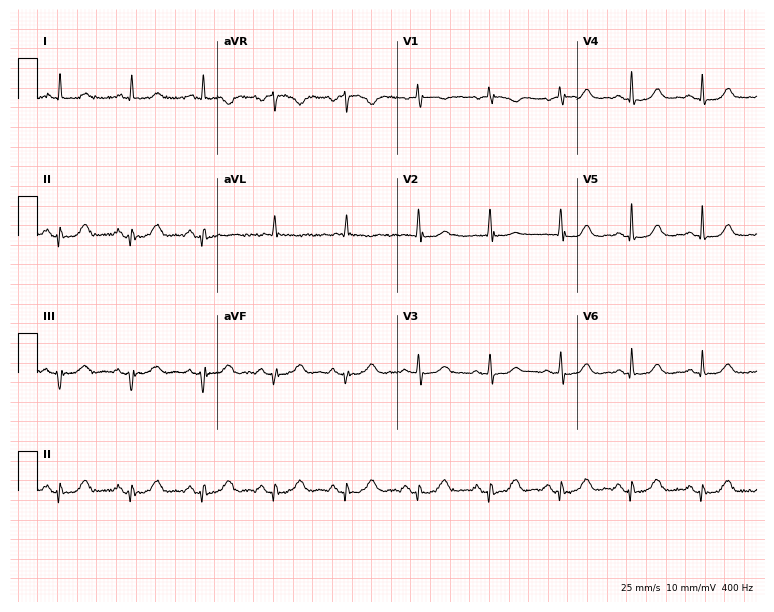
12-lead ECG from a female, 65 years old. Screened for six findings — first-degree AV block, right bundle branch block (RBBB), left bundle branch block (LBBB), sinus bradycardia, atrial fibrillation (AF), sinus tachycardia — none is recorded. Findings outside these six are not listed.